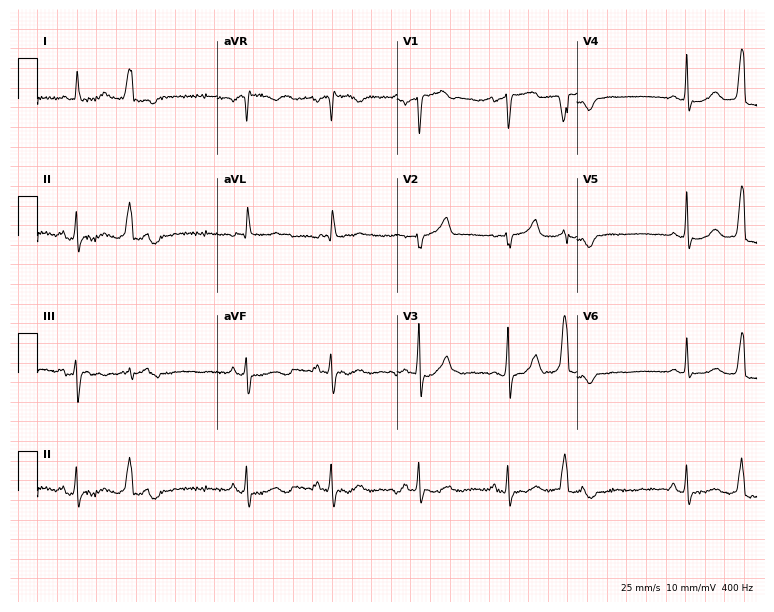
12-lead ECG from a 79-year-old female patient. No first-degree AV block, right bundle branch block, left bundle branch block, sinus bradycardia, atrial fibrillation or sinus tachycardia recorded for this tracing.